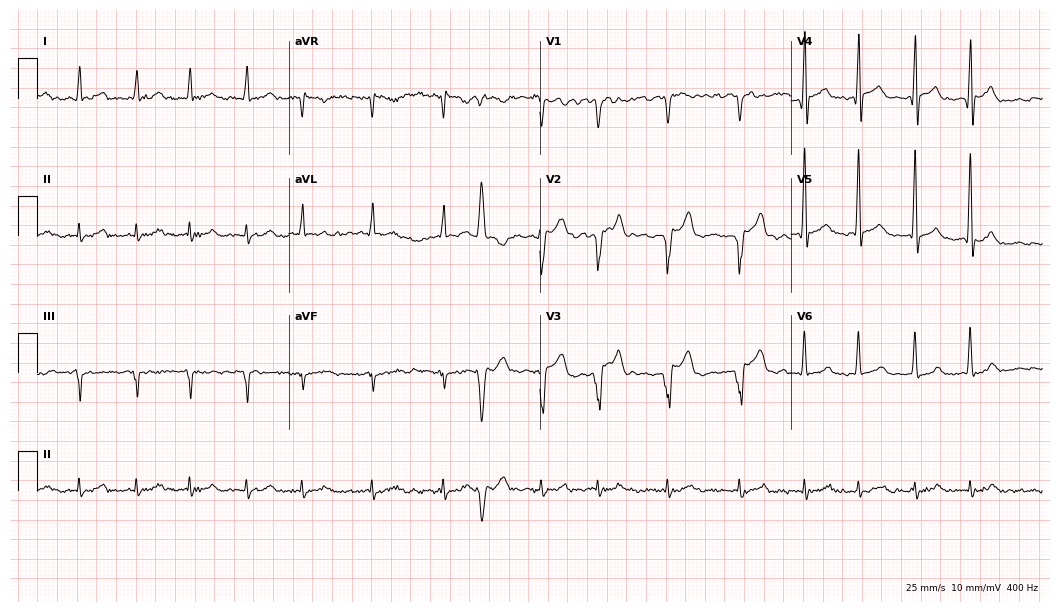
12-lead ECG from a 58-year-old male. No first-degree AV block, right bundle branch block, left bundle branch block, sinus bradycardia, atrial fibrillation or sinus tachycardia recorded for this tracing.